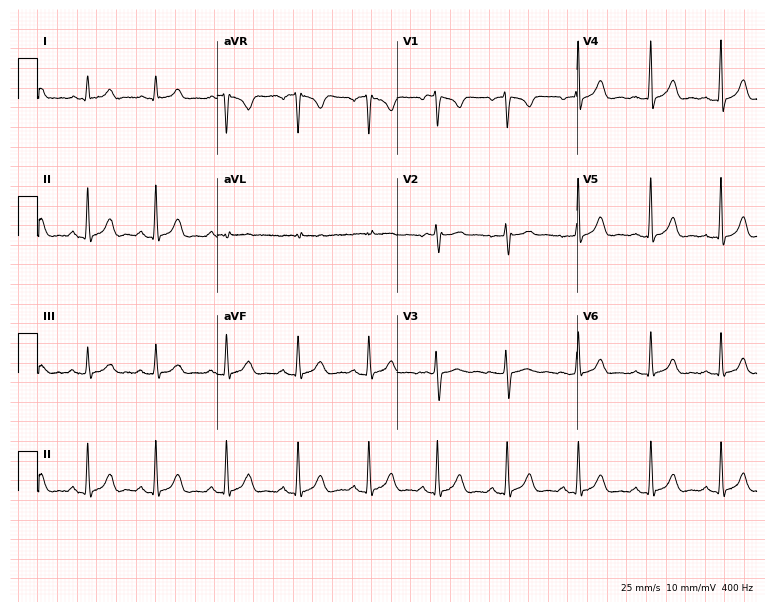
Electrocardiogram, a female, 39 years old. Overall reading on record: normal ECG.